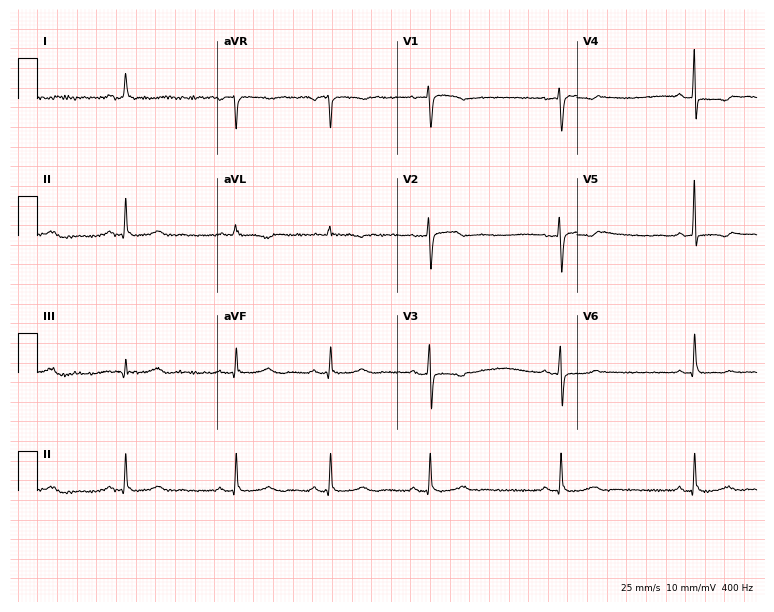
ECG (7.3-second recording at 400 Hz) — a female, 53 years old. Screened for six findings — first-degree AV block, right bundle branch block (RBBB), left bundle branch block (LBBB), sinus bradycardia, atrial fibrillation (AF), sinus tachycardia — none is recorded.